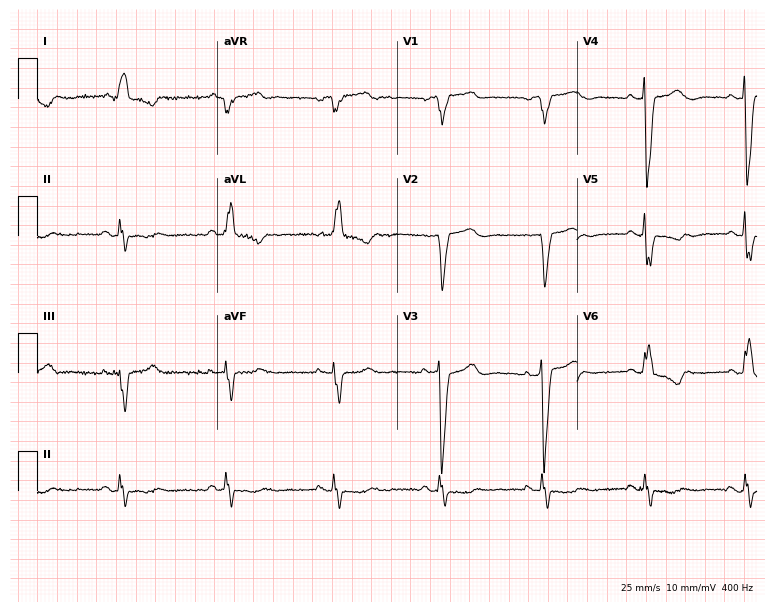
ECG (7.3-second recording at 400 Hz) — a 75-year-old woman. Findings include left bundle branch block (LBBB).